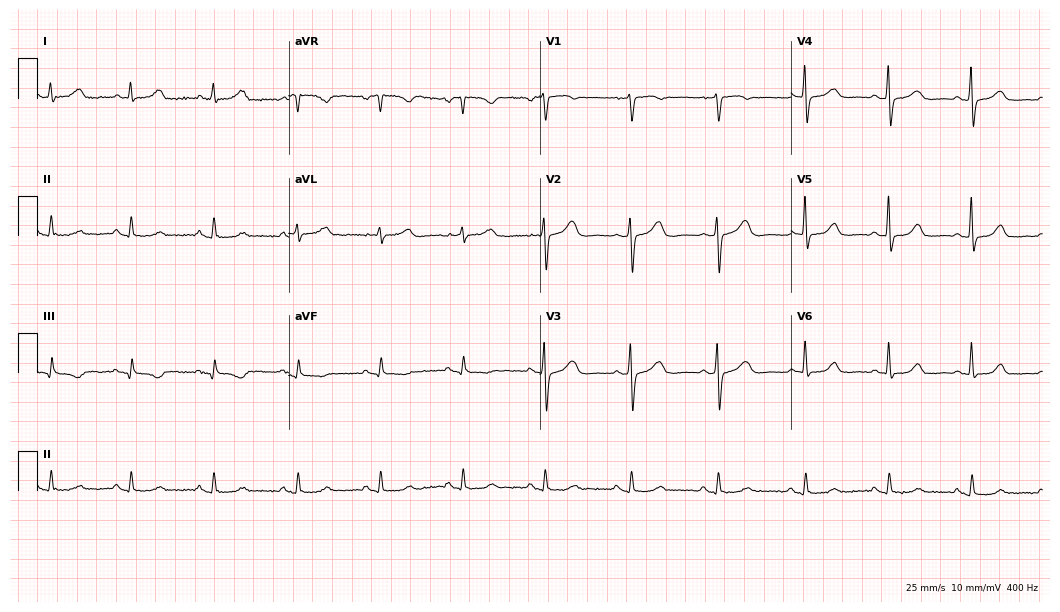
Standard 12-lead ECG recorded from a 60-year-old woman (10.2-second recording at 400 Hz). None of these six findings is recorded: first-degree AV block, right bundle branch block, left bundle branch block, sinus bradycardia, atrial fibrillation, sinus tachycardia. Findings outside these six are not listed.